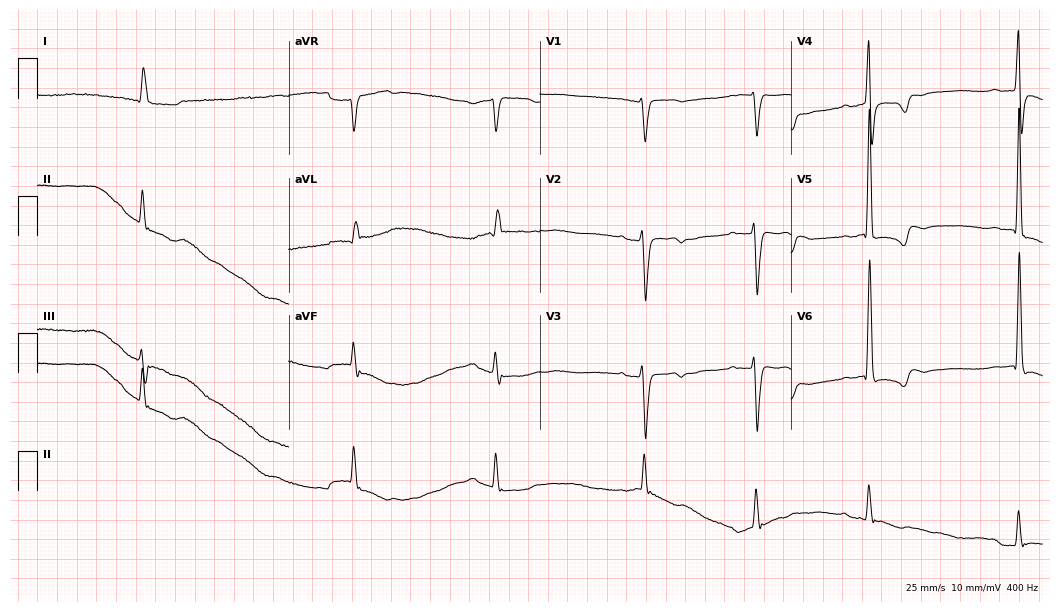
Resting 12-lead electrocardiogram (10.2-second recording at 400 Hz). Patient: an 80-year-old woman. None of these six findings is recorded: first-degree AV block, right bundle branch block (RBBB), left bundle branch block (LBBB), sinus bradycardia, atrial fibrillation (AF), sinus tachycardia.